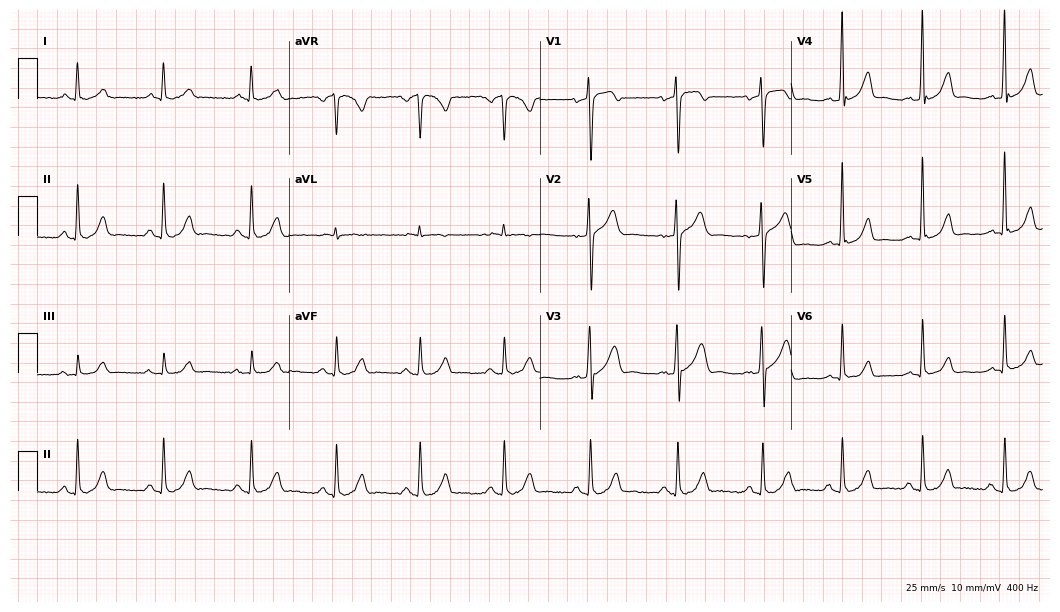
12-lead ECG from a male, 40 years old. Labelled as a normal ECG.